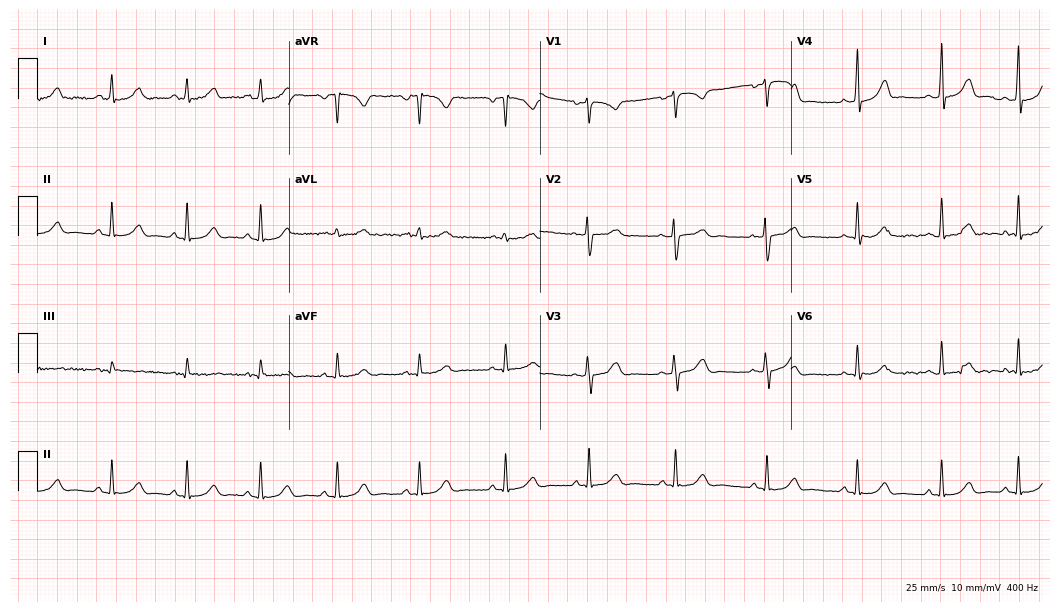
12-lead ECG from an 18-year-old woman. Recorded interpretation: within normal limits.